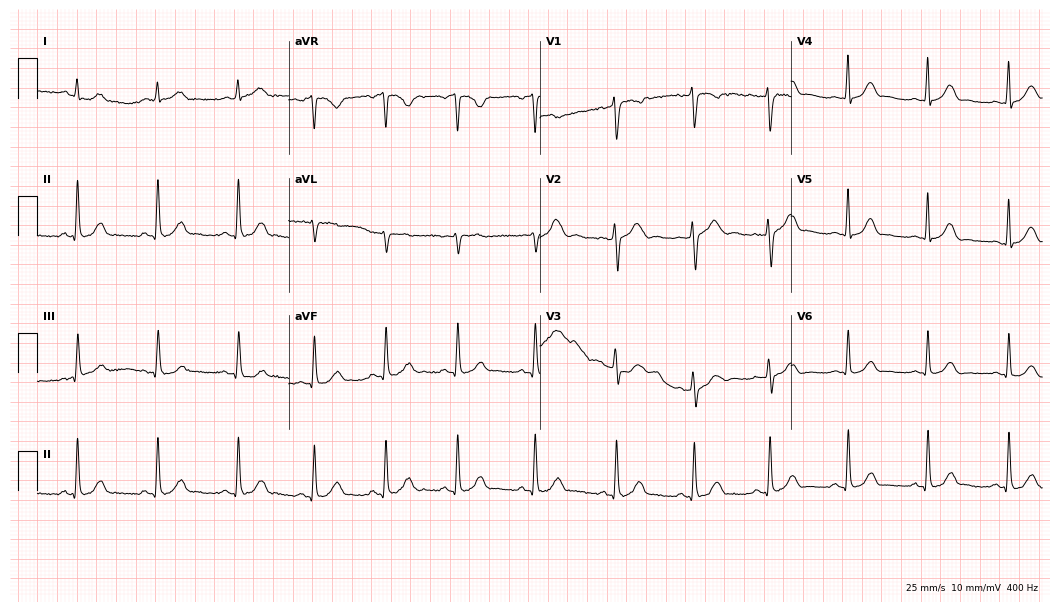
Standard 12-lead ECG recorded from a female, 29 years old (10.2-second recording at 400 Hz). Read as a normal ECG.